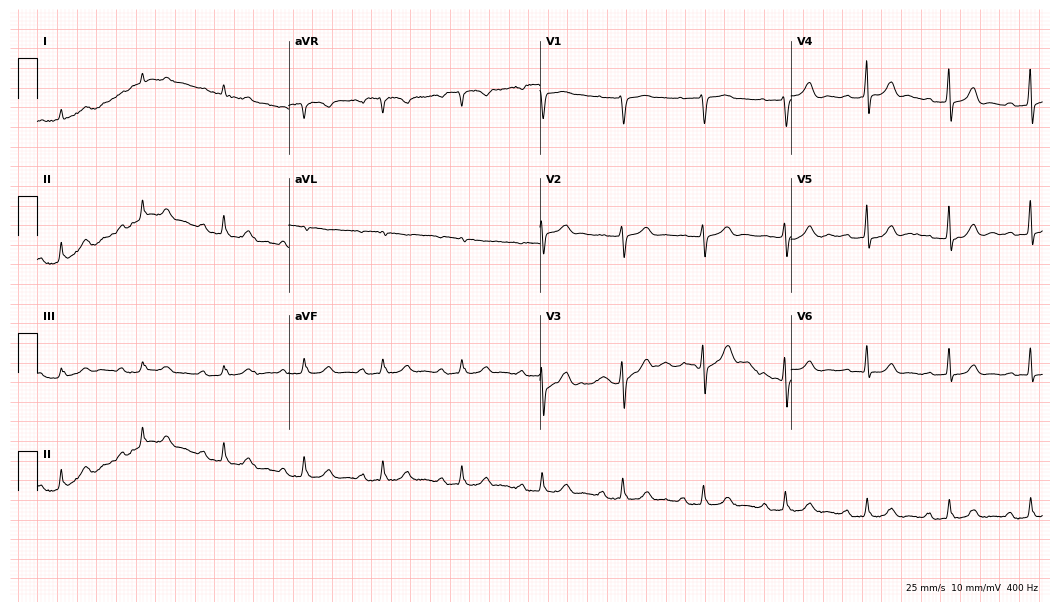
Resting 12-lead electrocardiogram (10.2-second recording at 400 Hz). Patient: a 70-year-old man. The tracing shows first-degree AV block.